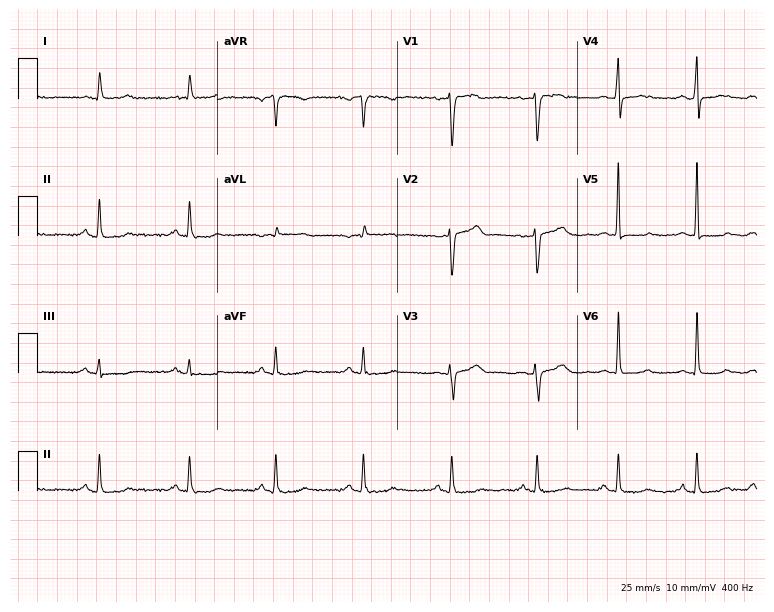
12-lead ECG (7.3-second recording at 400 Hz) from a female patient, 62 years old. Screened for six findings — first-degree AV block, right bundle branch block, left bundle branch block, sinus bradycardia, atrial fibrillation, sinus tachycardia — none is recorded.